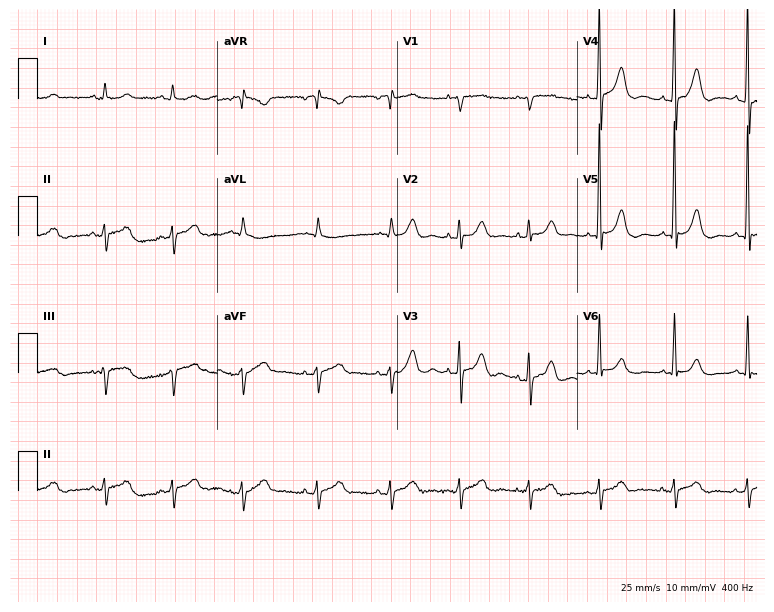
Standard 12-lead ECG recorded from a 60-year-old male. None of these six findings is recorded: first-degree AV block, right bundle branch block, left bundle branch block, sinus bradycardia, atrial fibrillation, sinus tachycardia. Other findings, if any, are not listed.